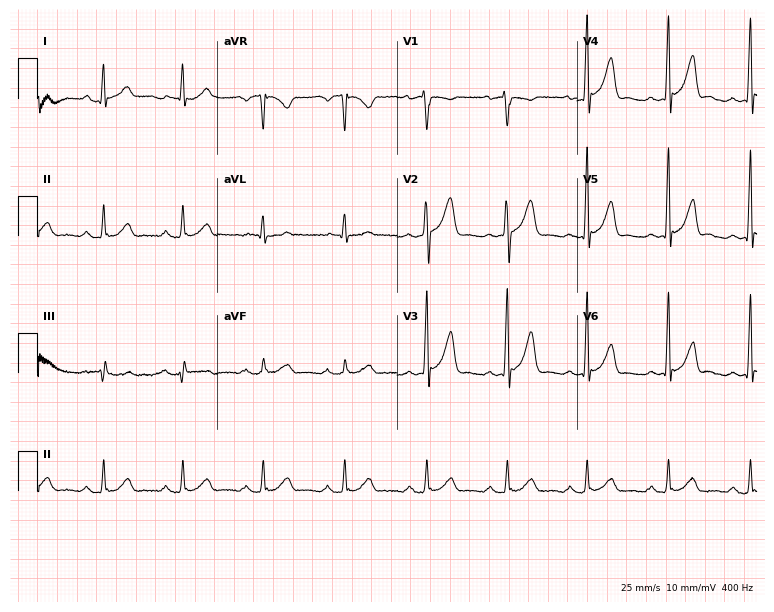
Electrocardiogram (7.3-second recording at 400 Hz), a male patient, 46 years old. Of the six screened findings (first-degree AV block, right bundle branch block, left bundle branch block, sinus bradycardia, atrial fibrillation, sinus tachycardia), none is recorded.